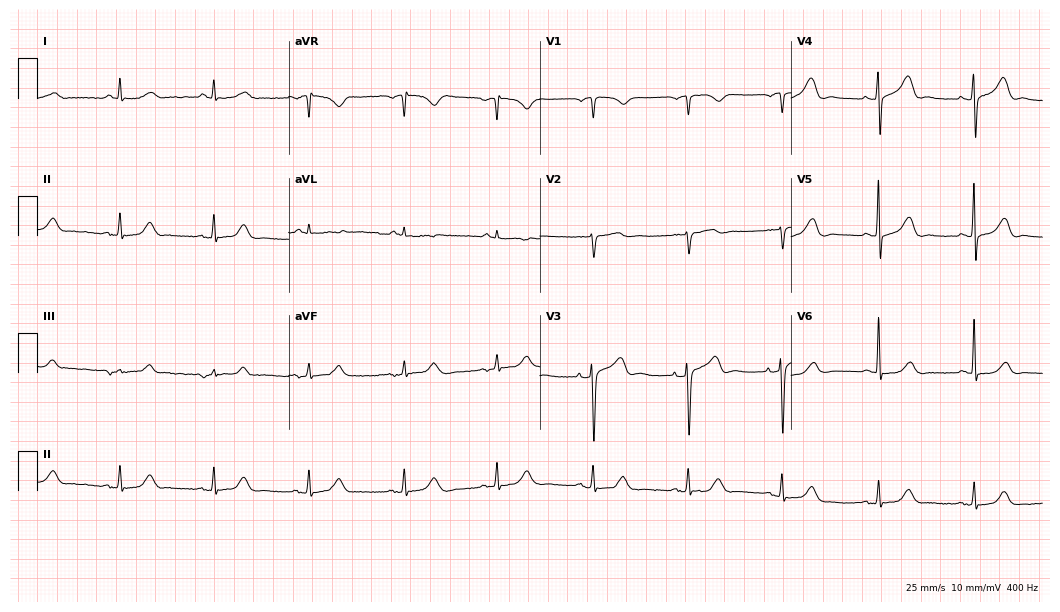
Standard 12-lead ECG recorded from a female patient, 65 years old. Read as a normal ECG.